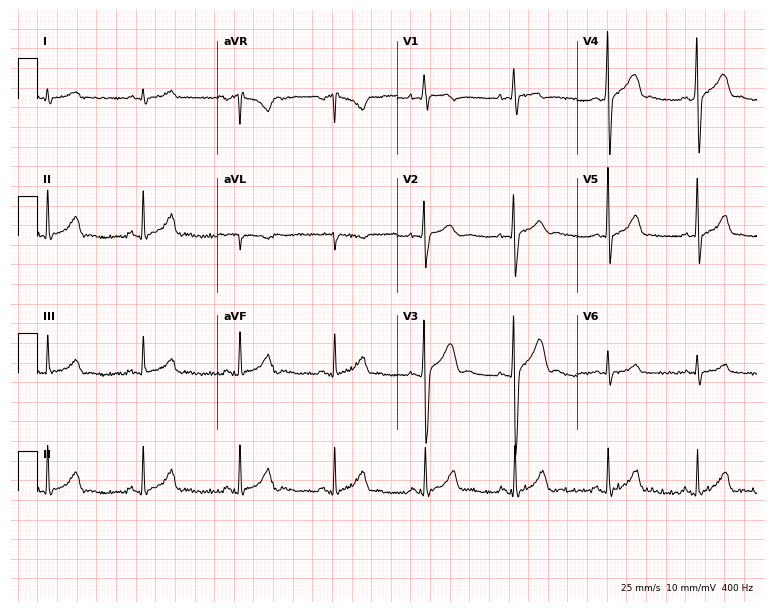
Electrocardiogram (7.3-second recording at 400 Hz), a man, 17 years old. Overall reading on record: normal ECG.